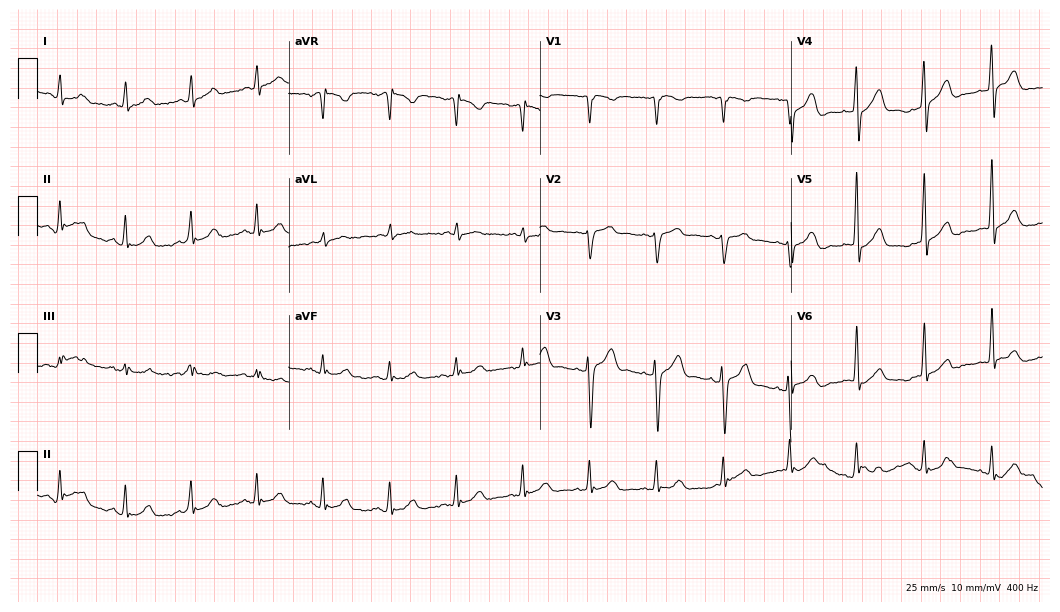
ECG — a male, 49 years old. Labelled as a normal ECG.